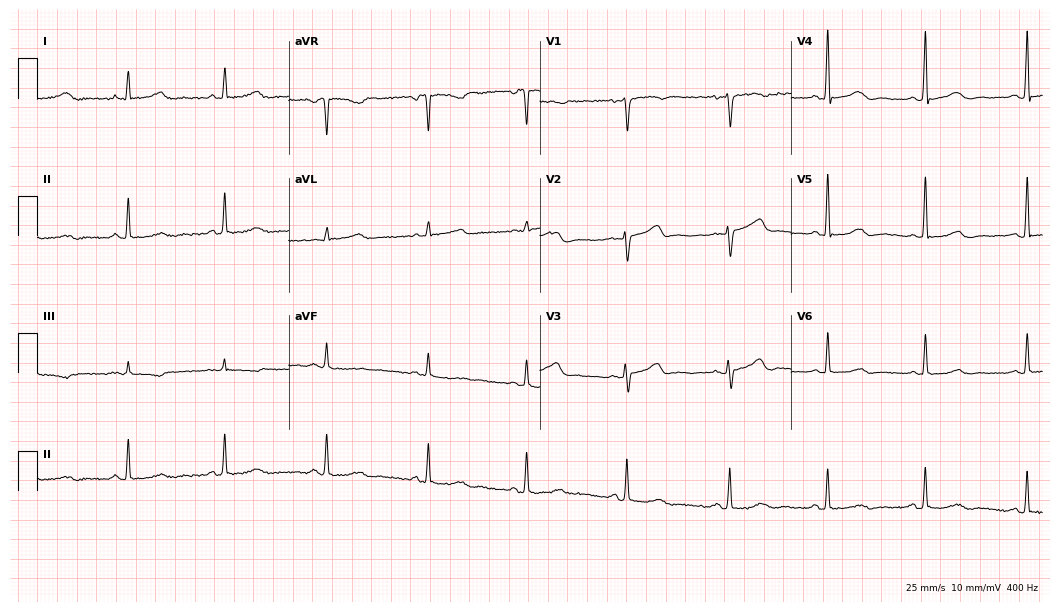
12-lead ECG from a female patient, 55 years old. Labelled as a normal ECG.